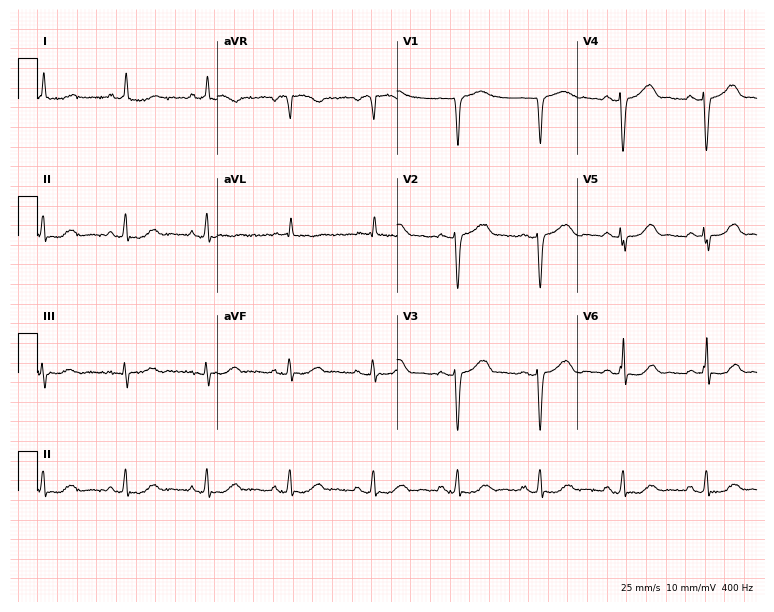
Resting 12-lead electrocardiogram (7.3-second recording at 400 Hz). Patient: an 81-year-old male. None of these six findings is recorded: first-degree AV block, right bundle branch block, left bundle branch block, sinus bradycardia, atrial fibrillation, sinus tachycardia. Only these six findings were labelled.